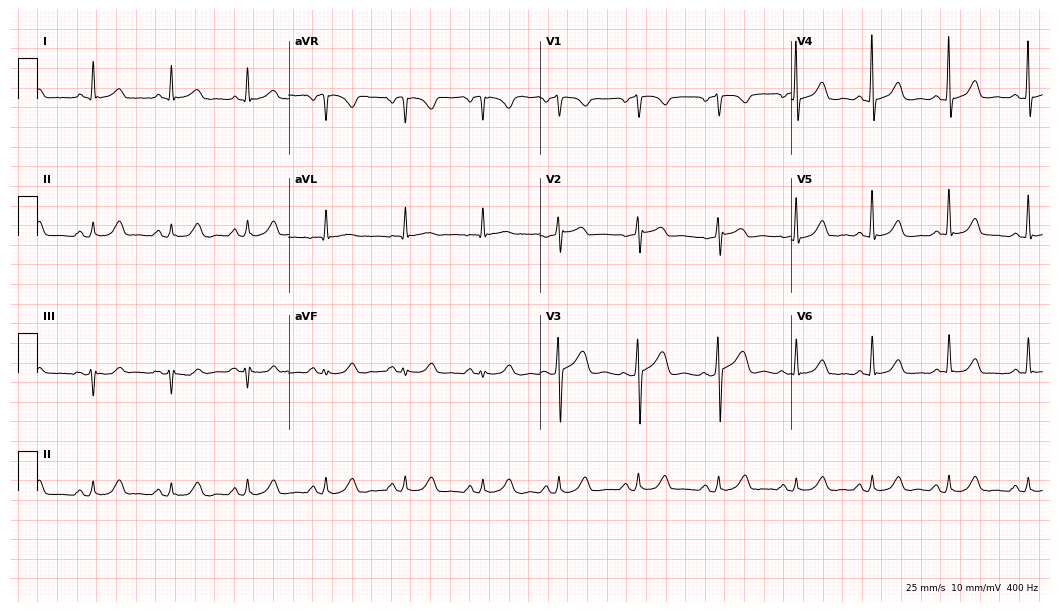
12-lead ECG from a 53-year-old female patient. Screened for six findings — first-degree AV block, right bundle branch block, left bundle branch block, sinus bradycardia, atrial fibrillation, sinus tachycardia — none is recorded.